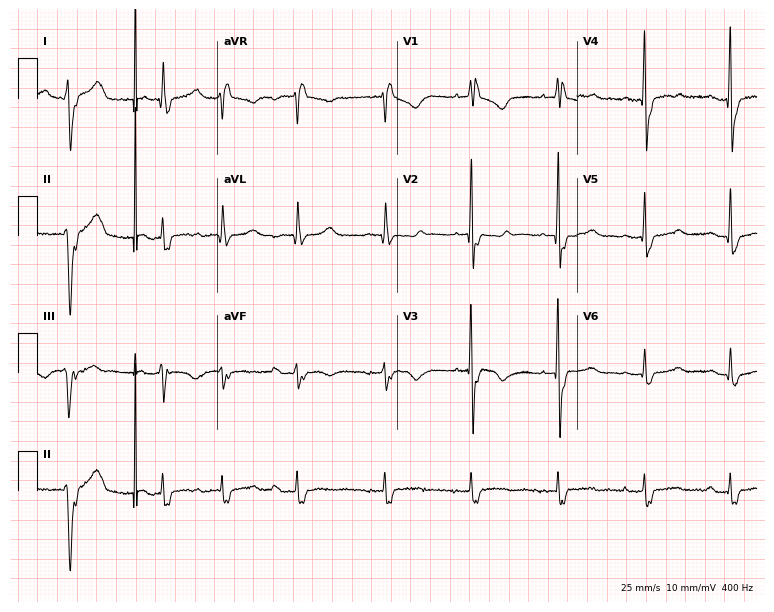
12-lead ECG from an 83-year-old female patient. No first-degree AV block, right bundle branch block (RBBB), left bundle branch block (LBBB), sinus bradycardia, atrial fibrillation (AF) or sinus tachycardia recorded for this tracing. Findings outside these six are not listed.